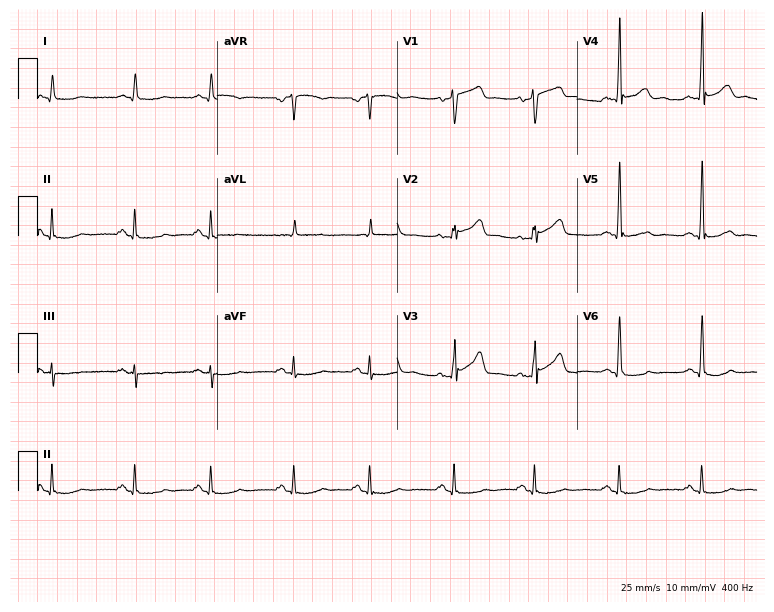
ECG — a male, 71 years old. Screened for six findings — first-degree AV block, right bundle branch block, left bundle branch block, sinus bradycardia, atrial fibrillation, sinus tachycardia — none is recorded.